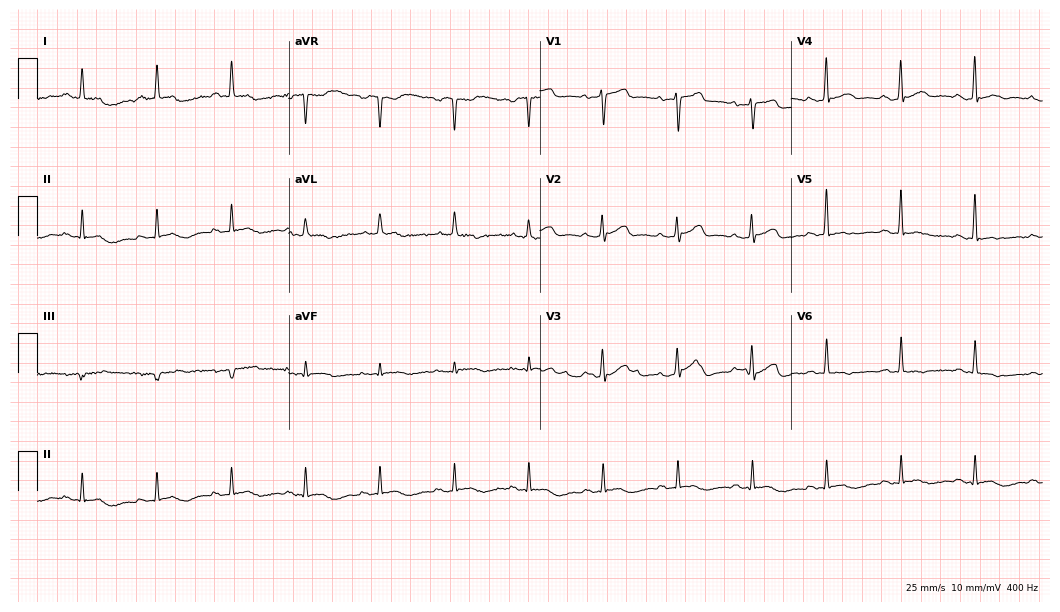
12-lead ECG from a 43-year-old man. Screened for six findings — first-degree AV block, right bundle branch block, left bundle branch block, sinus bradycardia, atrial fibrillation, sinus tachycardia — none is recorded.